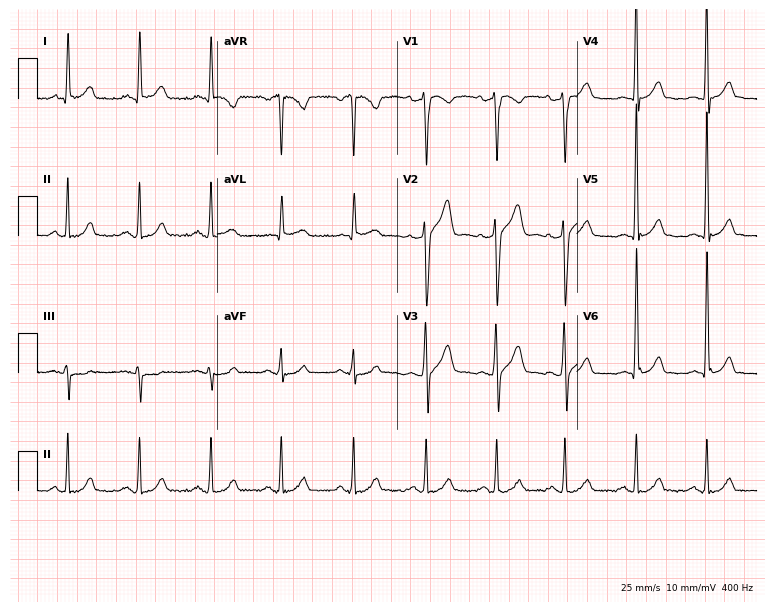
12-lead ECG (7.3-second recording at 400 Hz) from a male patient, 57 years old. Screened for six findings — first-degree AV block, right bundle branch block (RBBB), left bundle branch block (LBBB), sinus bradycardia, atrial fibrillation (AF), sinus tachycardia — none is recorded. Findings outside these six are not listed.